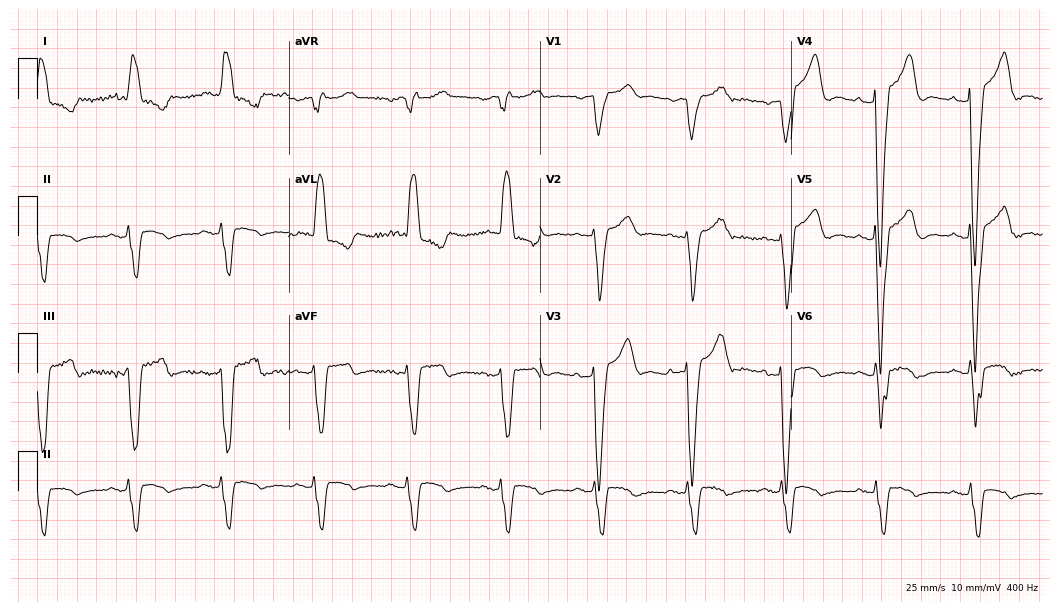
ECG — a female patient, 73 years old. Findings include left bundle branch block (LBBB).